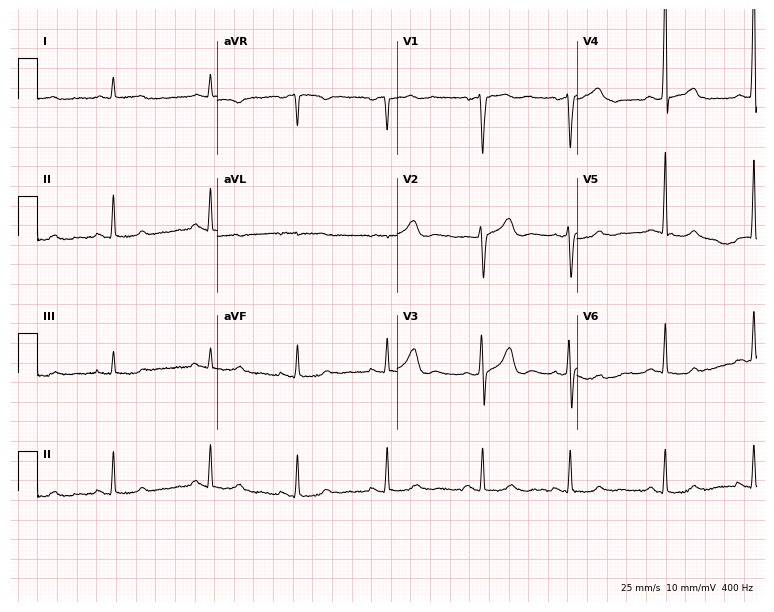
Electrocardiogram (7.3-second recording at 400 Hz), a man, 55 years old. Overall reading on record: normal ECG.